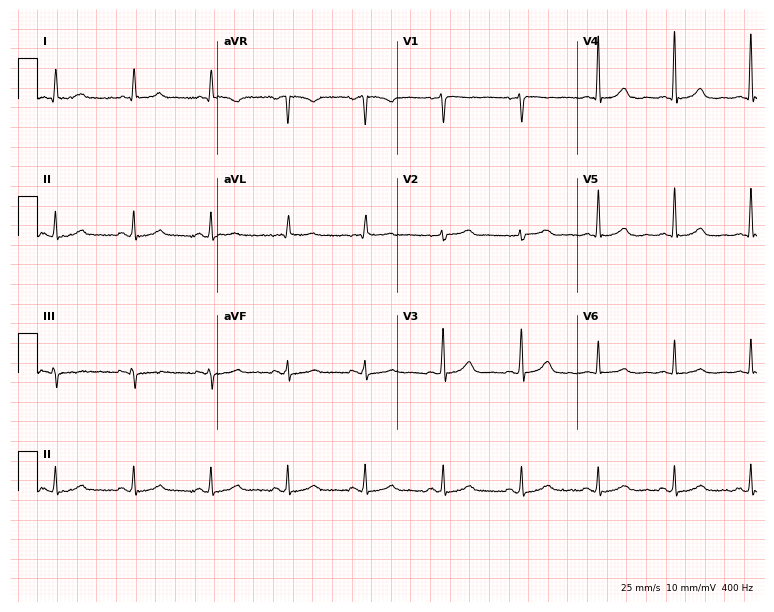
12-lead ECG (7.3-second recording at 400 Hz) from a female, 57 years old. Labelled as a normal ECG.